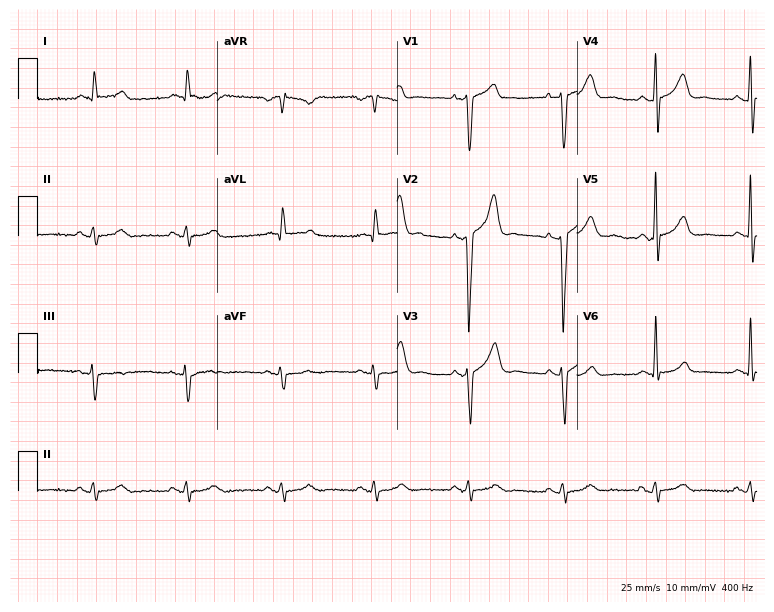
12-lead ECG from a male patient, 63 years old (7.3-second recording at 400 Hz). Recorded interpretation: within normal limits.